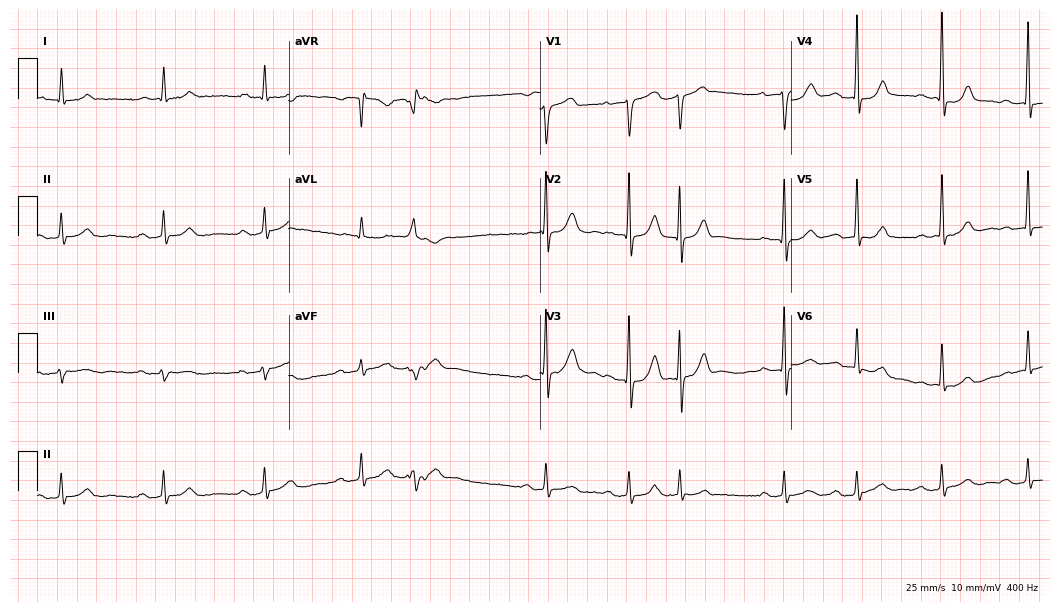
12-lead ECG (10.2-second recording at 400 Hz) from a male patient, 72 years old. Findings include first-degree AV block.